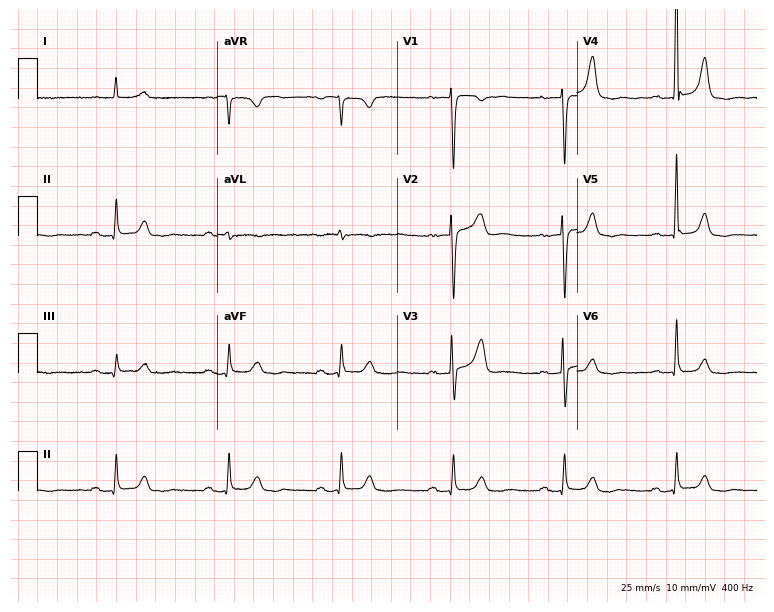
Standard 12-lead ECG recorded from a male patient, 79 years old (7.3-second recording at 400 Hz). The tracing shows first-degree AV block.